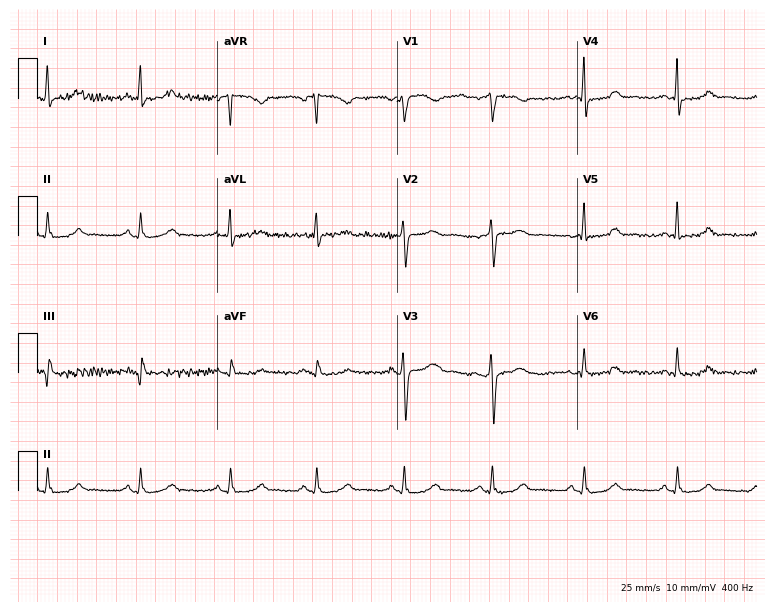
Electrocardiogram, a 36-year-old woman. Overall reading on record: normal ECG.